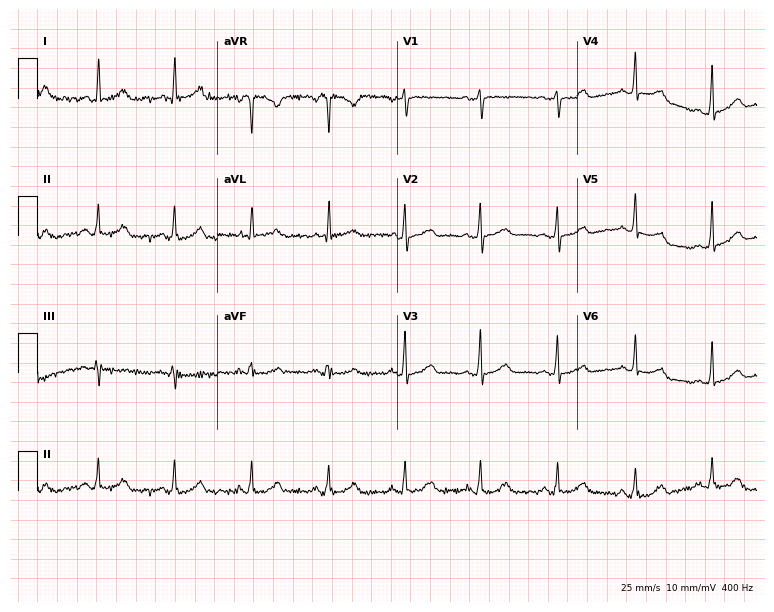
Standard 12-lead ECG recorded from a female, 40 years old (7.3-second recording at 400 Hz). Read as a normal ECG.